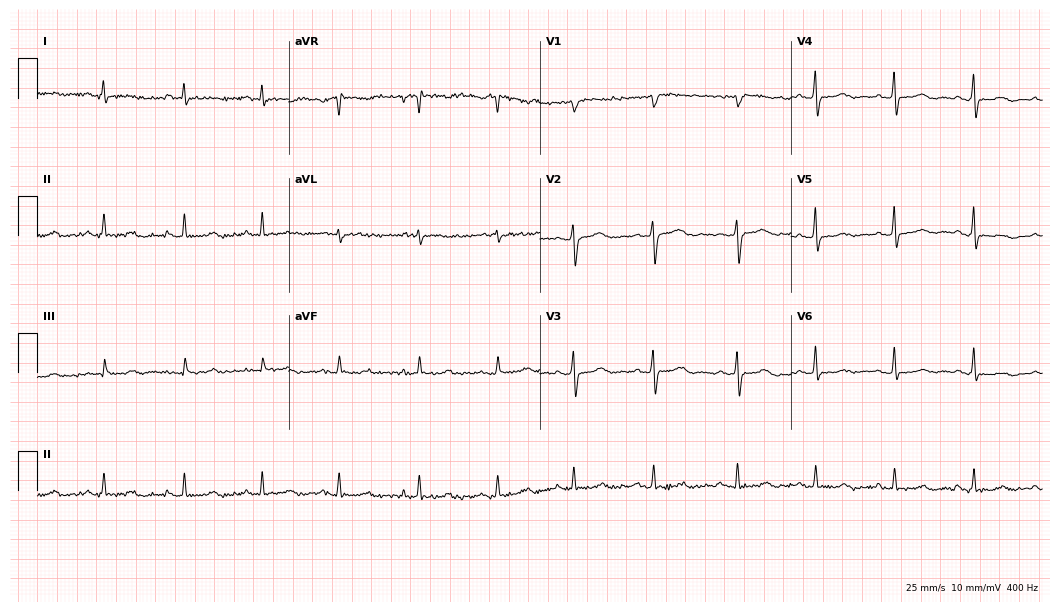
12-lead ECG from a 53-year-old female patient. No first-degree AV block, right bundle branch block, left bundle branch block, sinus bradycardia, atrial fibrillation or sinus tachycardia recorded for this tracing. Only these six findings were labelled.